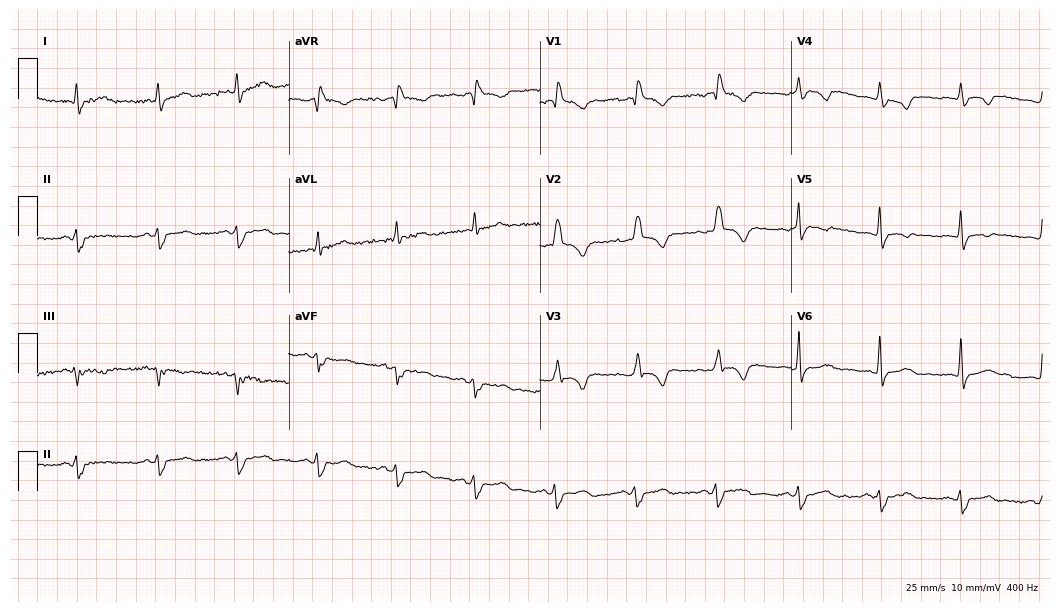
ECG (10.2-second recording at 400 Hz) — a 38-year-old female. Findings include right bundle branch block.